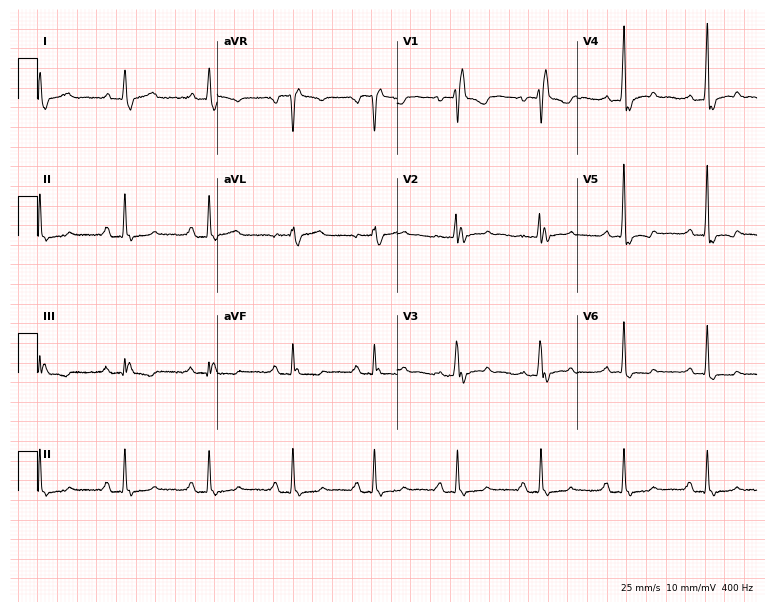
12-lead ECG from a 53-year-old female patient. Findings include first-degree AV block, right bundle branch block.